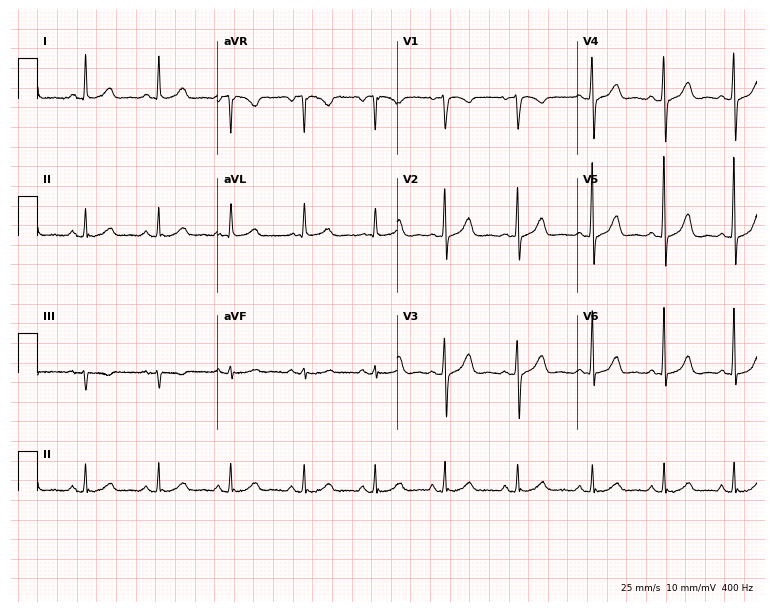
Electrocardiogram (7.3-second recording at 400 Hz), a female patient, 48 years old. Of the six screened findings (first-degree AV block, right bundle branch block (RBBB), left bundle branch block (LBBB), sinus bradycardia, atrial fibrillation (AF), sinus tachycardia), none is recorded.